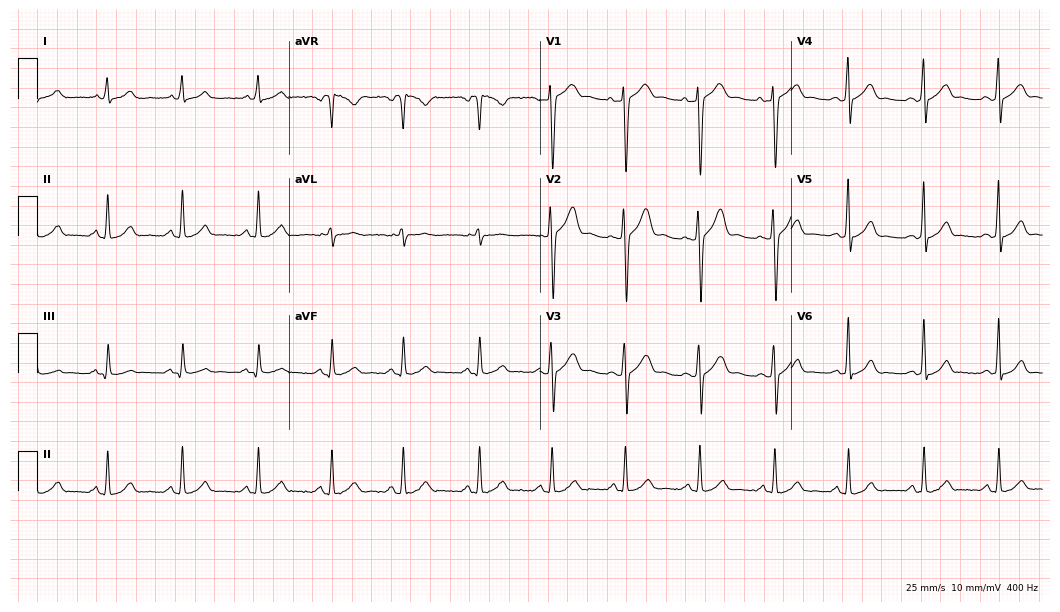
Resting 12-lead electrocardiogram. Patient: a male, 28 years old. Read as a normal ECG.